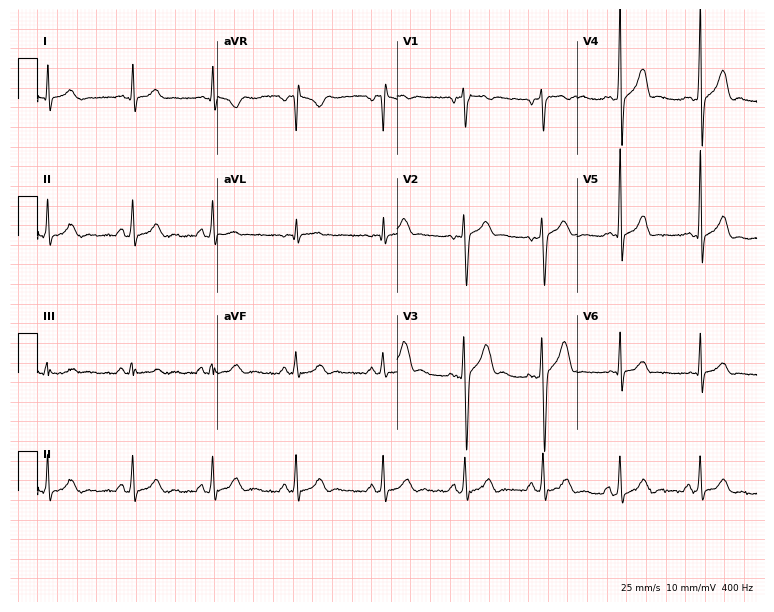
ECG (7.3-second recording at 400 Hz) — a male, 19 years old. Screened for six findings — first-degree AV block, right bundle branch block (RBBB), left bundle branch block (LBBB), sinus bradycardia, atrial fibrillation (AF), sinus tachycardia — none is recorded. Findings outside these six are not listed.